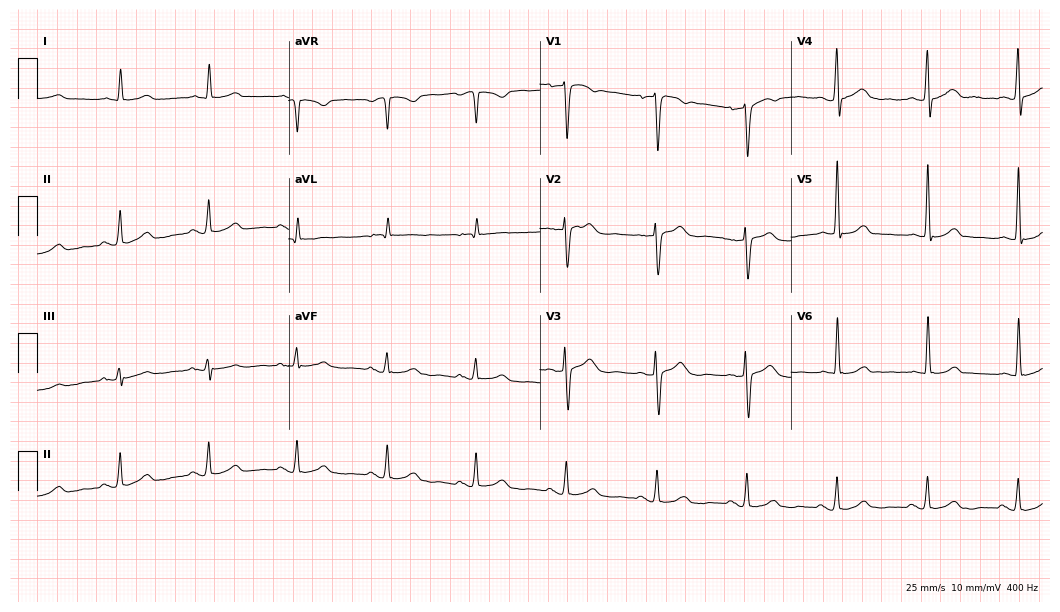
12-lead ECG from a 50-year-old male patient. Recorded interpretation: within normal limits.